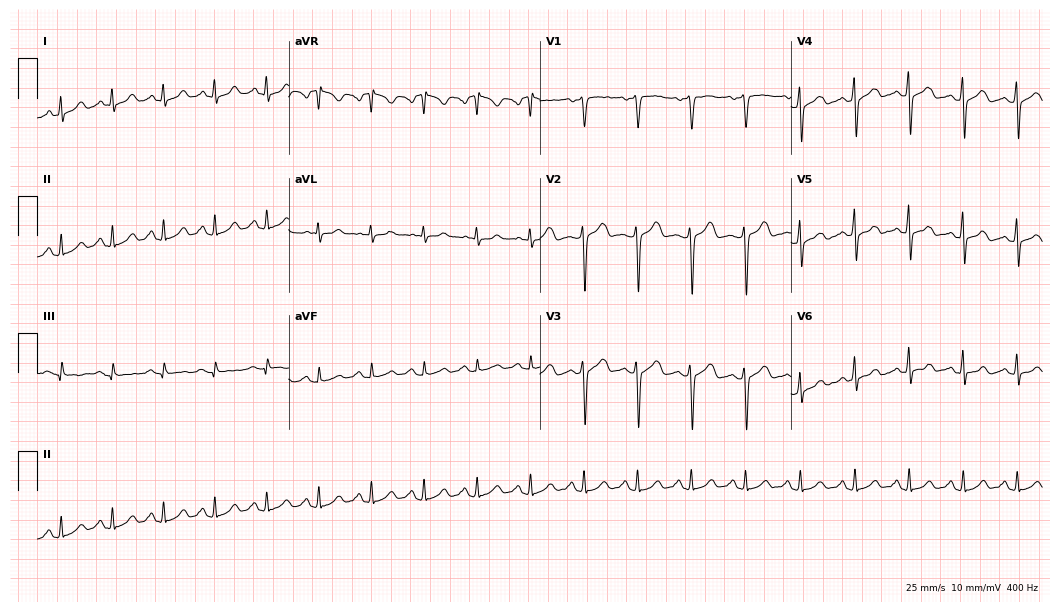
12-lead ECG from a 42-year-old female. Shows sinus tachycardia (a sinus rate of 100 beats per minute or more).